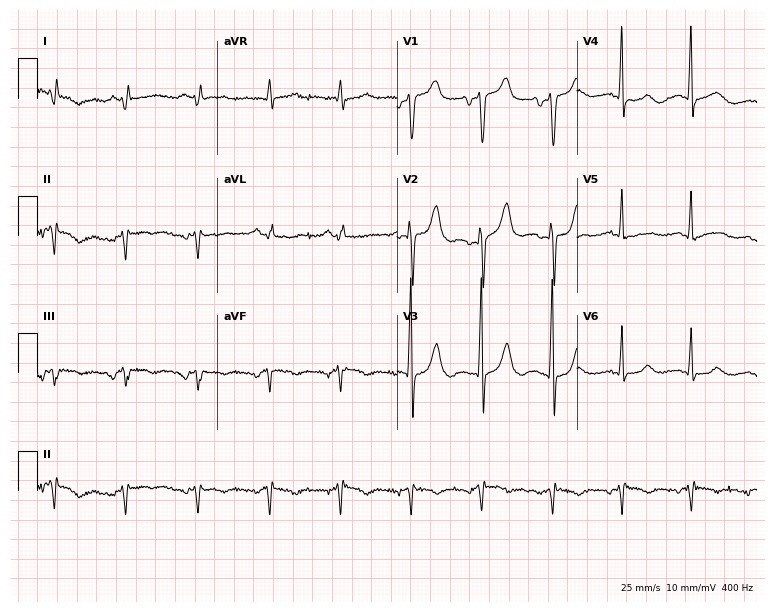
Resting 12-lead electrocardiogram (7.3-second recording at 400 Hz). Patient: a 58-year-old man. None of these six findings is recorded: first-degree AV block, right bundle branch block, left bundle branch block, sinus bradycardia, atrial fibrillation, sinus tachycardia. Other findings, if any, are not listed.